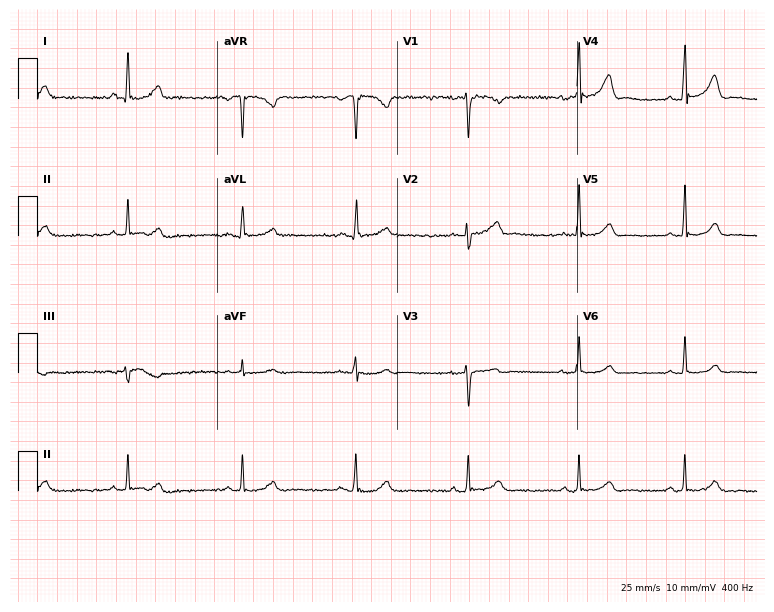
Resting 12-lead electrocardiogram (7.3-second recording at 400 Hz). Patient: a female, 36 years old. None of these six findings is recorded: first-degree AV block, right bundle branch block, left bundle branch block, sinus bradycardia, atrial fibrillation, sinus tachycardia.